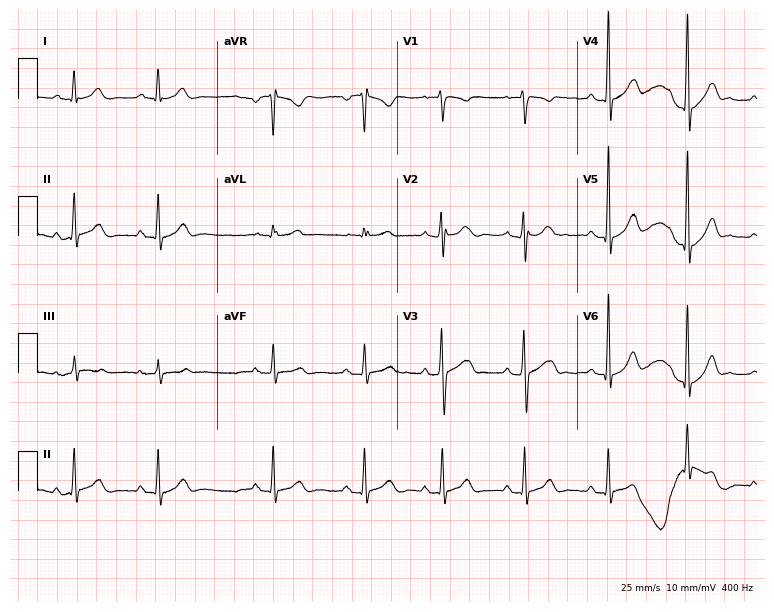
Standard 12-lead ECG recorded from a male, 24 years old (7.3-second recording at 400 Hz). Read as a normal ECG.